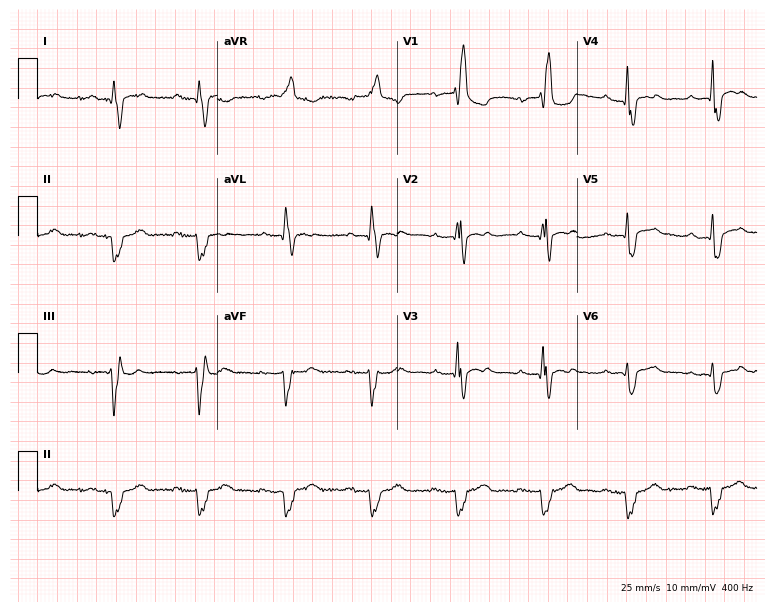
ECG — a 66-year-old man. Findings include first-degree AV block, right bundle branch block.